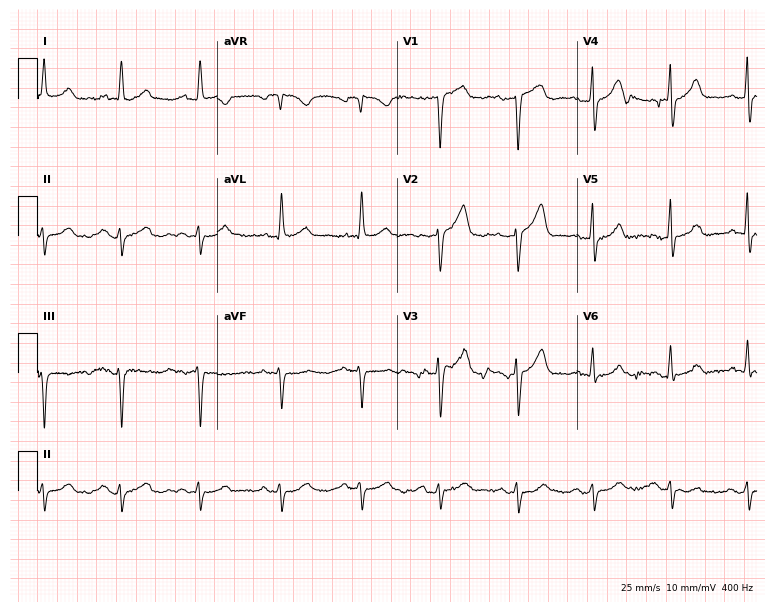
Resting 12-lead electrocardiogram. Patient: a 70-year-old man. None of these six findings is recorded: first-degree AV block, right bundle branch block, left bundle branch block, sinus bradycardia, atrial fibrillation, sinus tachycardia. Only these six findings were labelled.